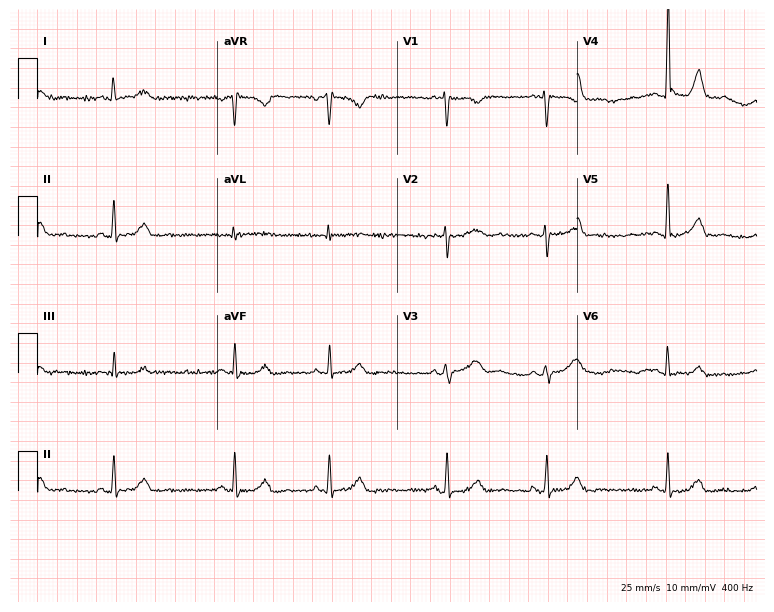
Standard 12-lead ECG recorded from a 32-year-old female (7.3-second recording at 400 Hz). None of these six findings is recorded: first-degree AV block, right bundle branch block, left bundle branch block, sinus bradycardia, atrial fibrillation, sinus tachycardia.